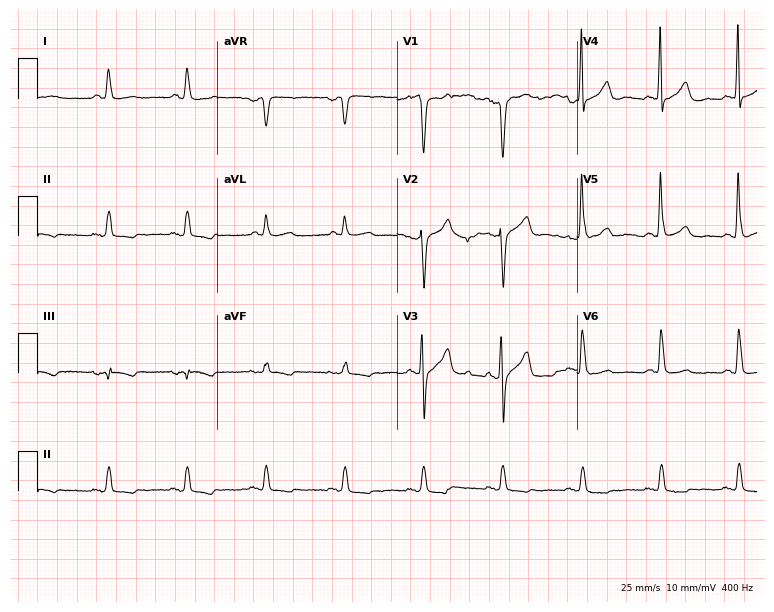
Electrocardiogram (7.3-second recording at 400 Hz), a male, 69 years old. Of the six screened findings (first-degree AV block, right bundle branch block, left bundle branch block, sinus bradycardia, atrial fibrillation, sinus tachycardia), none is recorded. Only these six findings were labelled.